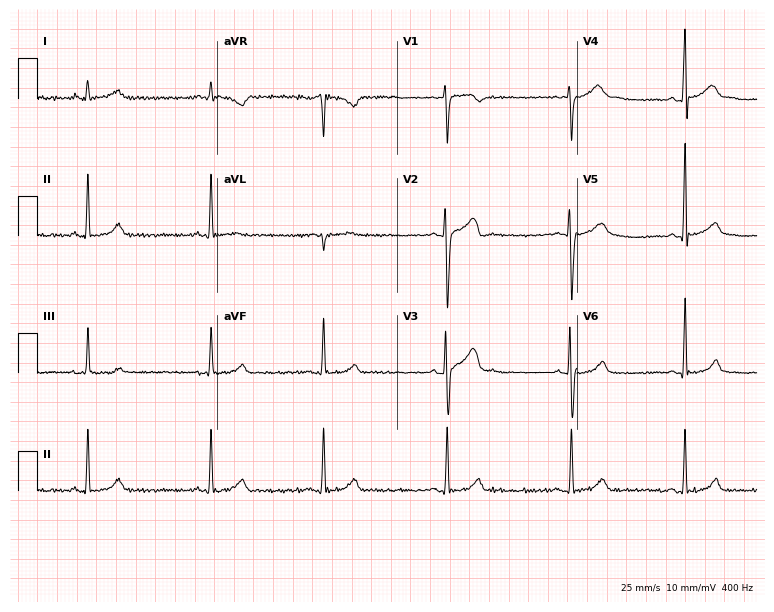
ECG — a male, 19 years old. Screened for six findings — first-degree AV block, right bundle branch block, left bundle branch block, sinus bradycardia, atrial fibrillation, sinus tachycardia — none is recorded.